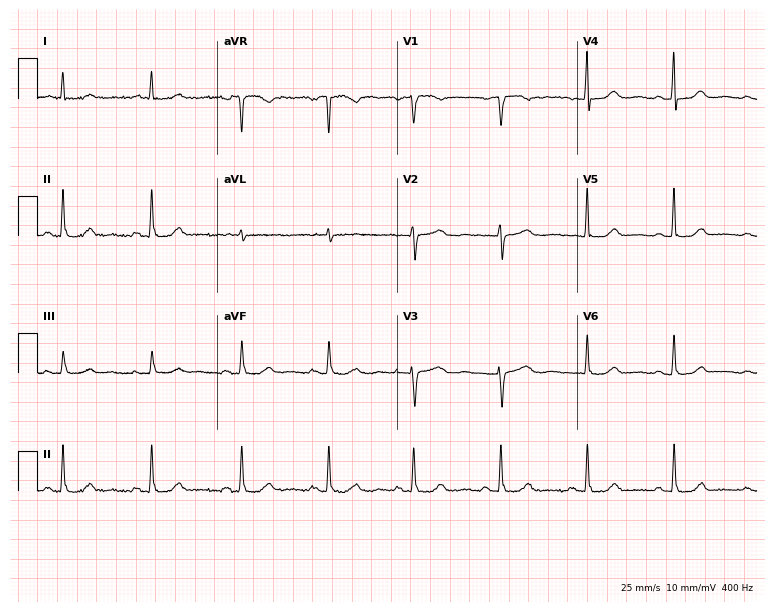
ECG (7.3-second recording at 400 Hz) — a 76-year-old female. Screened for six findings — first-degree AV block, right bundle branch block (RBBB), left bundle branch block (LBBB), sinus bradycardia, atrial fibrillation (AF), sinus tachycardia — none is recorded.